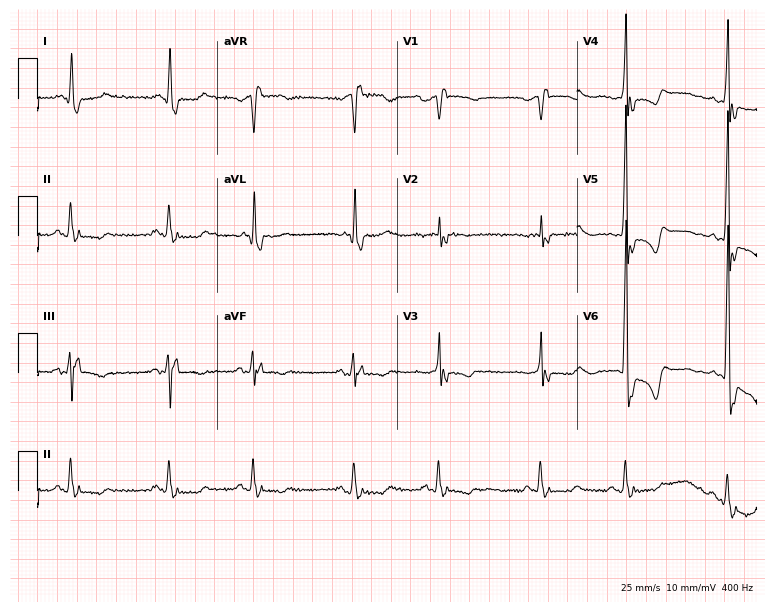
Electrocardiogram, an 84-year-old male patient. Interpretation includes right bundle branch block.